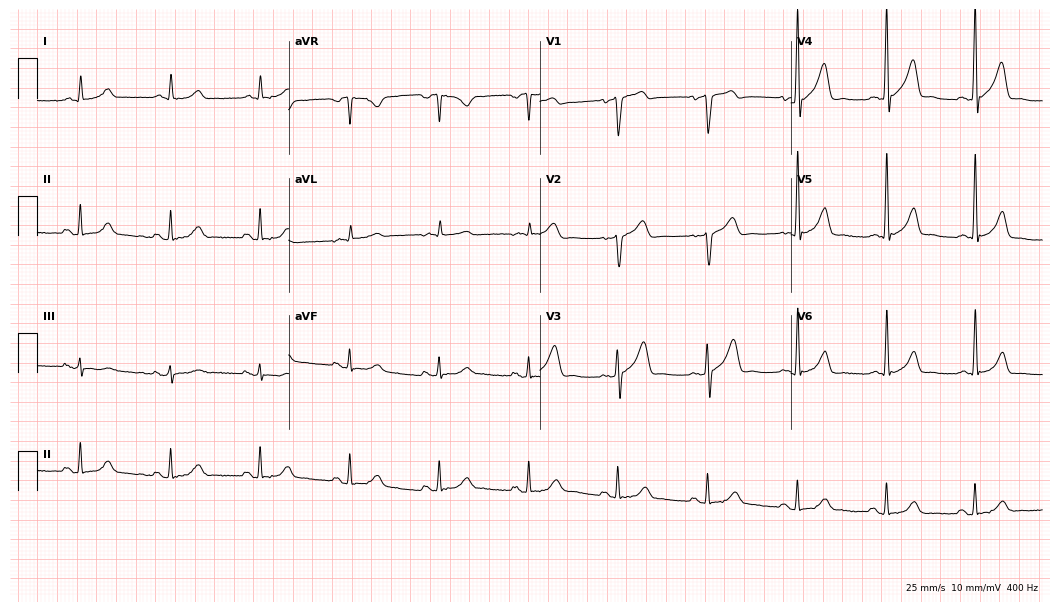
12-lead ECG from a 68-year-old man. Labelled as a normal ECG.